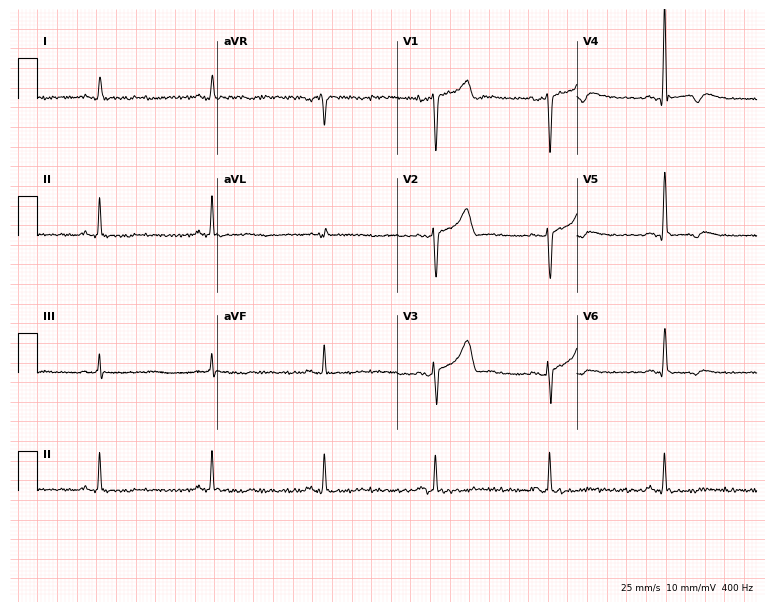
12-lead ECG (7.3-second recording at 400 Hz) from a 40-year-old man. Screened for six findings — first-degree AV block, right bundle branch block, left bundle branch block, sinus bradycardia, atrial fibrillation, sinus tachycardia — none is recorded. Only these six findings were labelled.